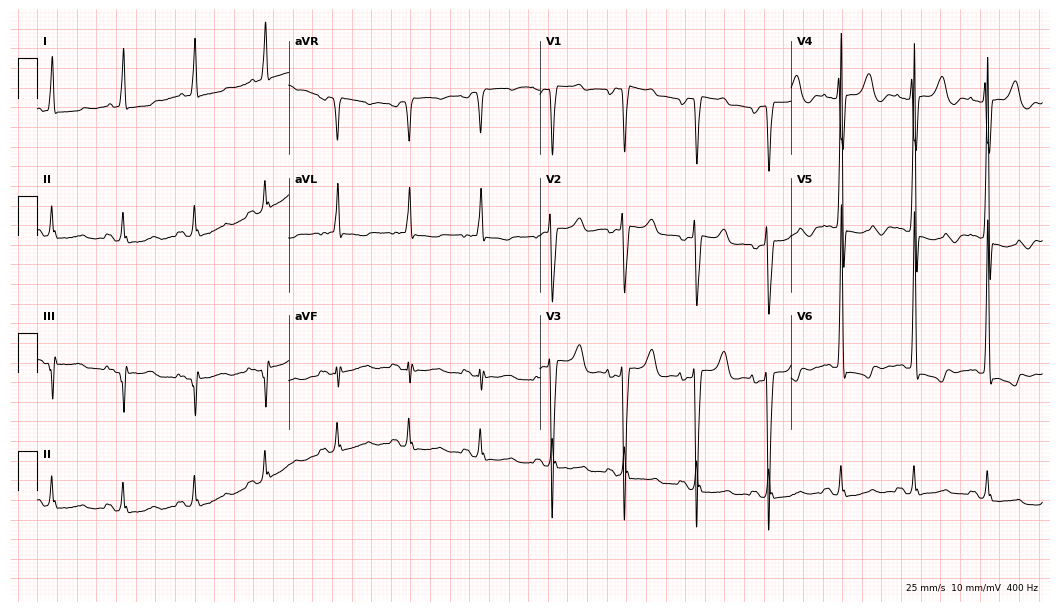
ECG (10.2-second recording at 400 Hz) — a male patient, 57 years old. Screened for six findings — first-degree AV block, right bundle branch block (RBBB), left bundle branch block (LBBB), sinus bradycardia, atrial fibrillation (AF), sinus tachycardia — none is recorded. Findings outside these six are not listed.